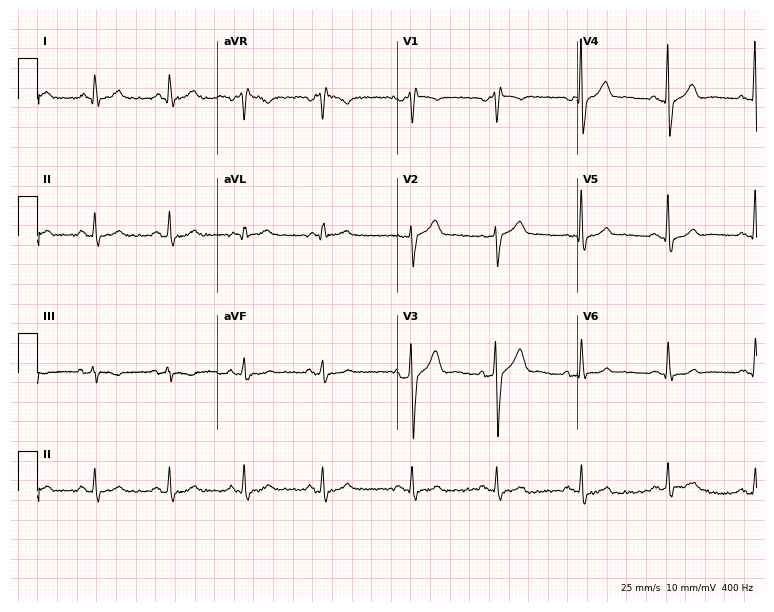
Resting 12-lead electrocardiogram. Patient: a 50-year-old male. None of these six findings is recorded: first-degree AV block, right bundle branch block, left bundle branch block, sinus bradycardia, atrial fibrillation, sinus tachycardia.